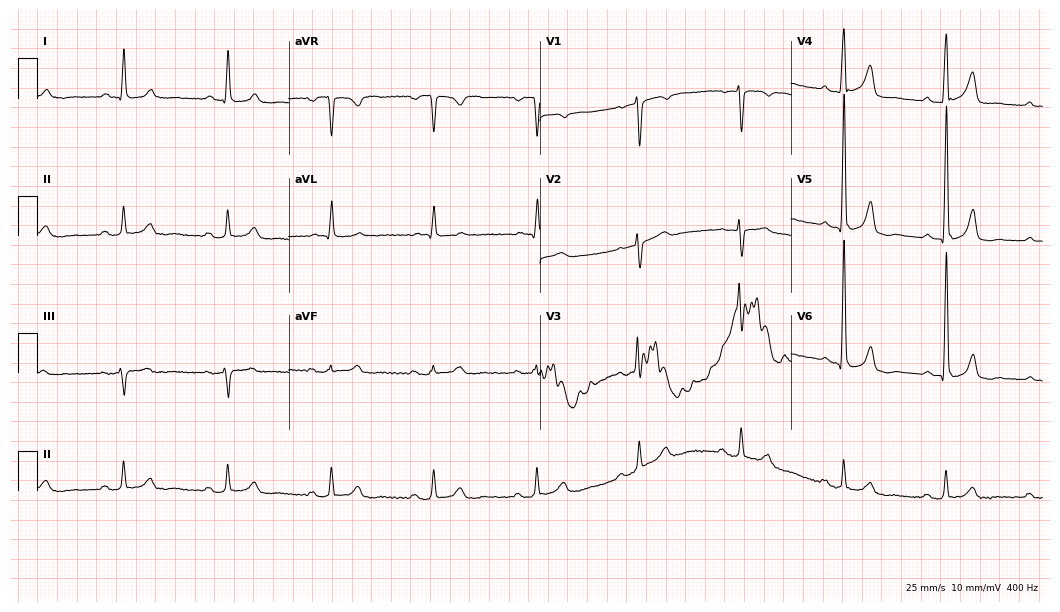
Standard 12-lead ECG recorded from a 71-year-old male (10.2-second recording at 400 Hz). None of these six findings is recorded: first-degree AV block, right bundle branch block, left bundle branch block, sinus bradycardia, atrial fibrillation, sinus tachycardia. Findings outside these six are not listed.